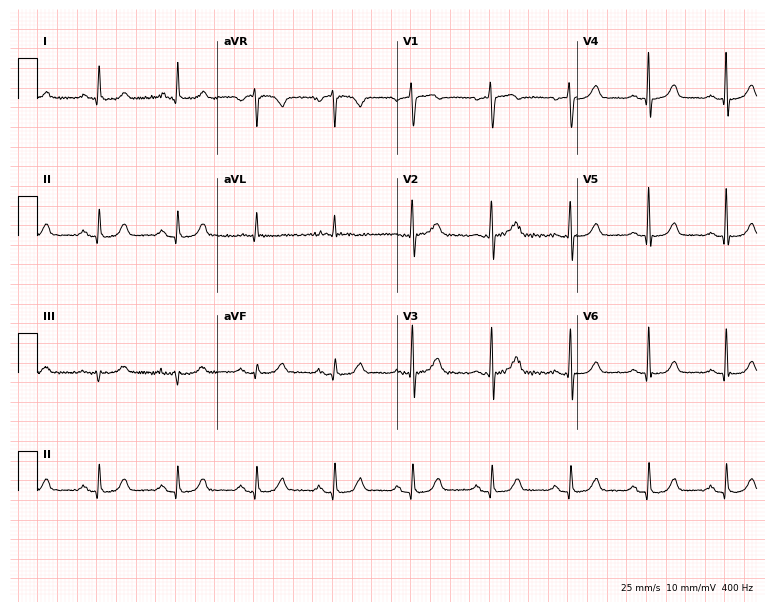
Electrocardiogram, a 67-year-old female. Overall reading on record: normal ECG.